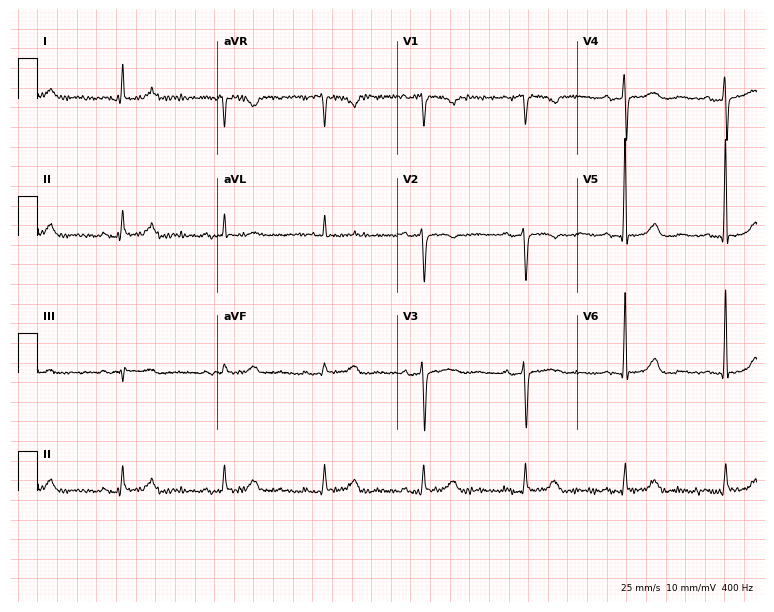
ECG (7.3-second recording at 400 Hz) — a woman, 83 years old. Screened for six findings — first-degree AV block, right bundle branch block, left bundle branch block, sinus bradycardia, atrial fibrillation, sinus tachycardia — none is recorded.